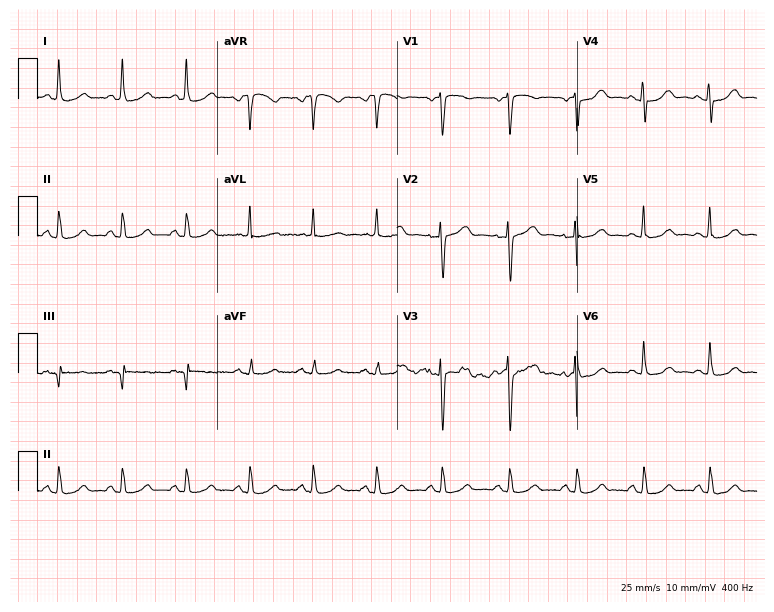
Electrocardiogram, a 58-year-old female. Of the six screened findings (first-degree AV block, right bundle branch block, left bundle branch block, sinus bradycardia, atrial fibrillation, sinus tachycardia), none is recorded.